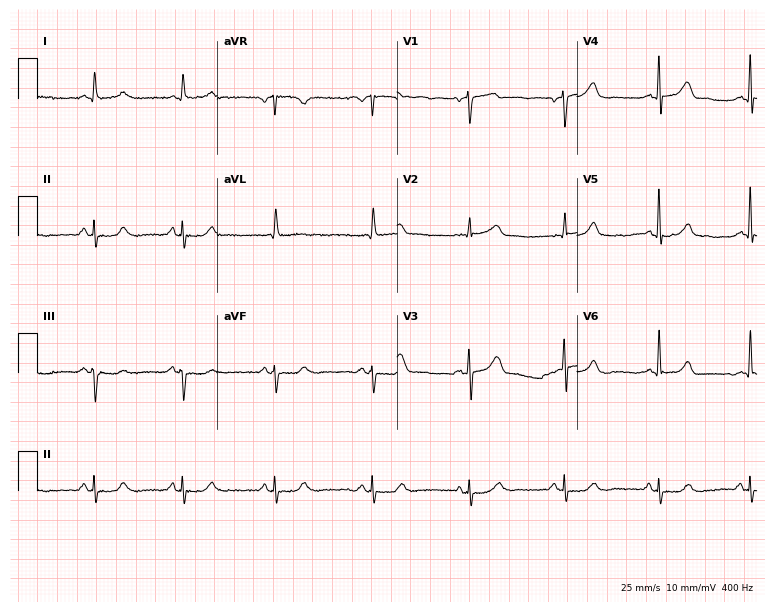
Standard 12-lead ECG recorded from a male patient, 68 years old. Read as a normal ECG.